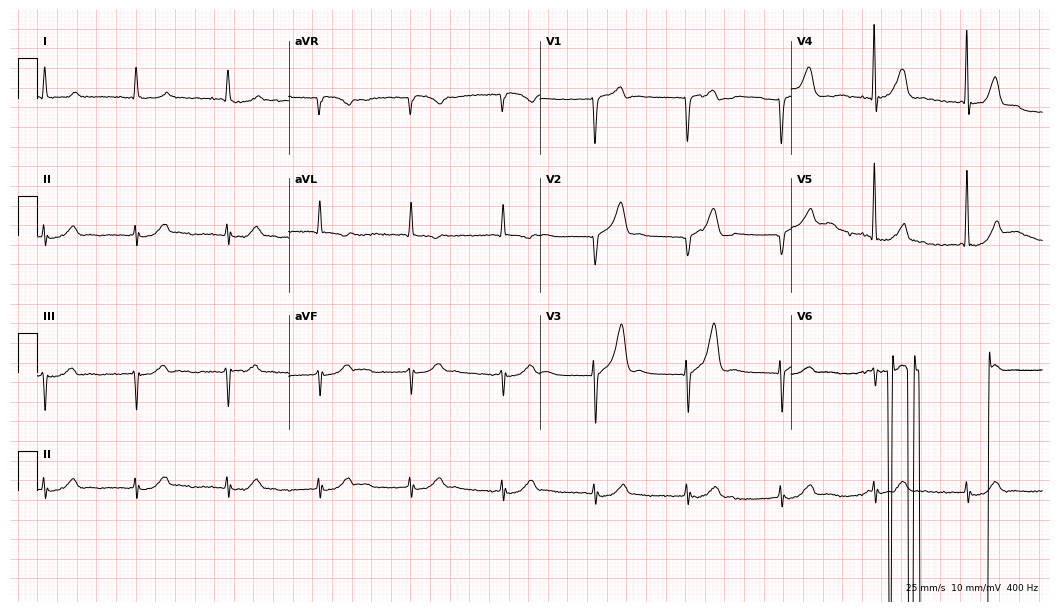
ECG (10.2-second recording at 400 Hz) — a female patient, 83 years old. Screened for six findings — first-degree AV block, right bundle branch block (RBBB), left bundle branch block (LBBB), sinus bradycardia, atrial fibrillation (AF), sinus tachycardia — none is recorded.